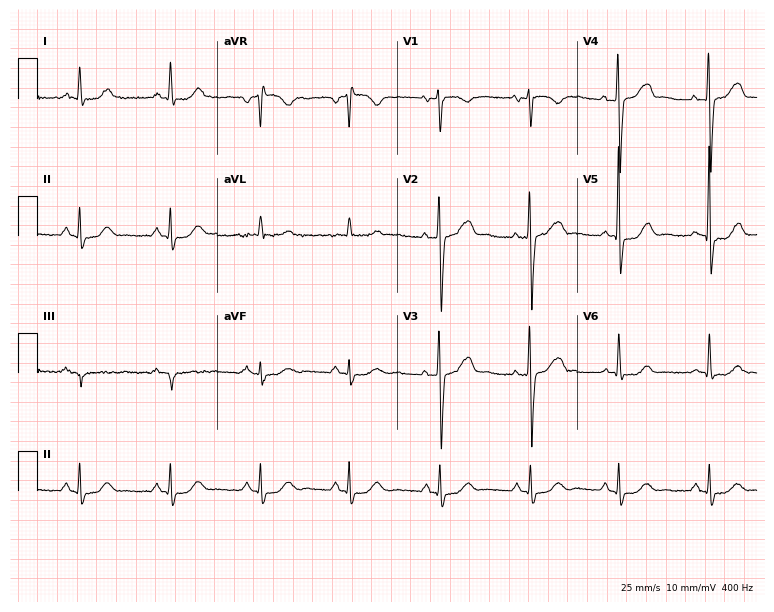
Electrocardiogram, a female, 54 years old. Overall reading on record: normal ECG.